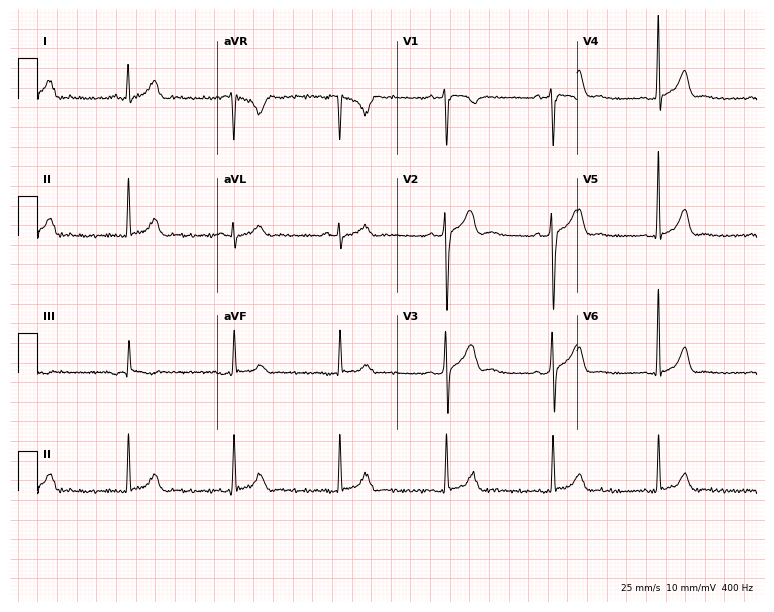
Standard 12-lead ECG recorded from a 26-year-old male (7.3-second recording at 400 Hz). Read as a normal ECG.